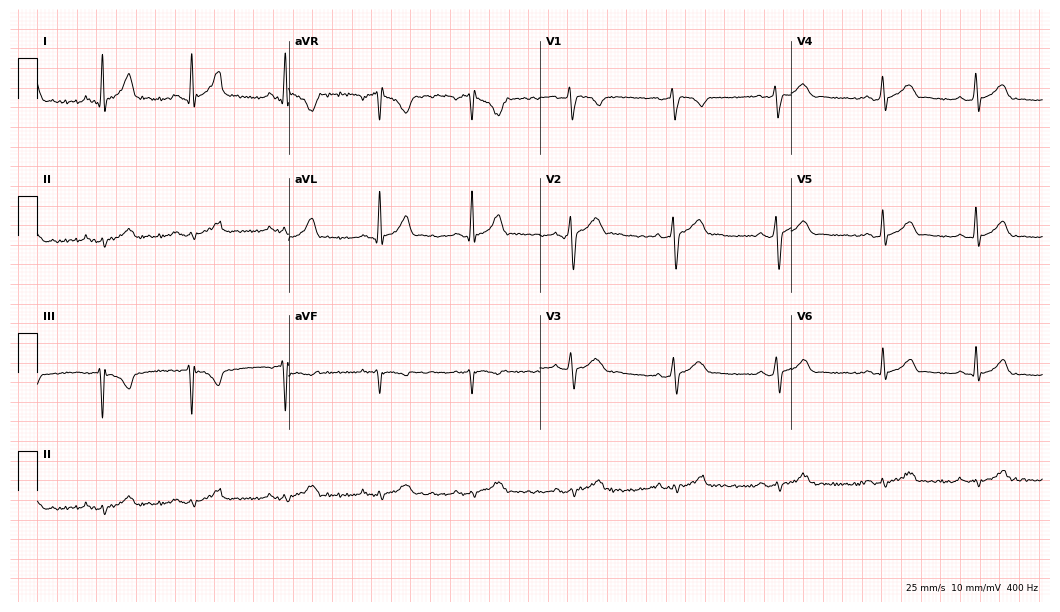
ECG (10.2-second recording at 400 Hz) — a male patient, 33 years old. Screened for six findings — first-degree AV block, right bundle branch block (RBBB), left bundle branch block (LBBB), sinus bradycardia, atrial fibrillation (AF), sinus tachycardia — none is recorded.